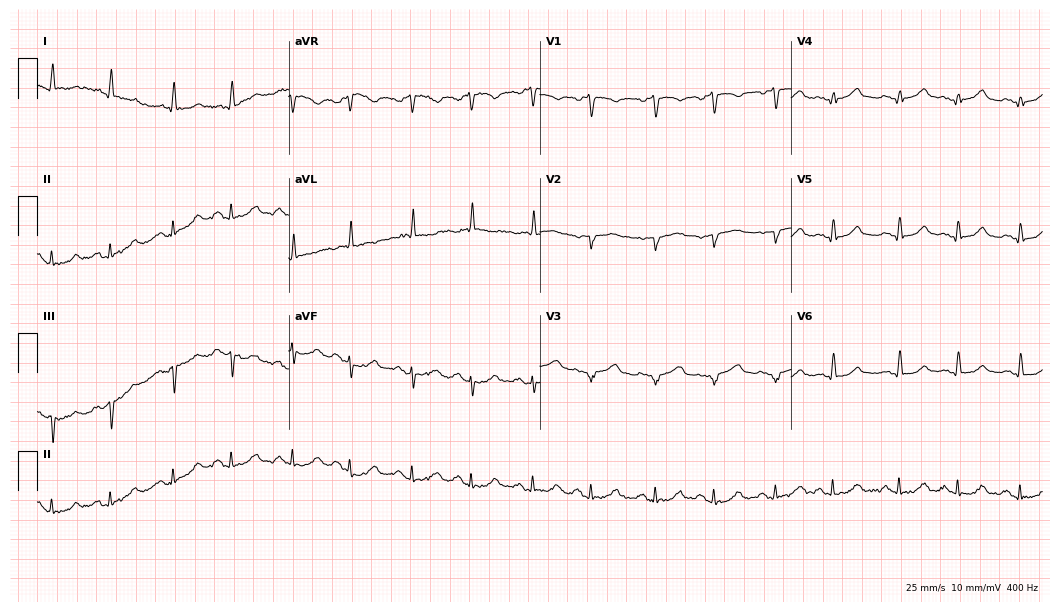
Electrocardiogram, a female, 79 years old. Of the six screened findings (first-degree AV block, right bundle branch block, left bundle branch block, sinus bradycardia, atrial fibrillation, sinus tachycardia), none is recorded.